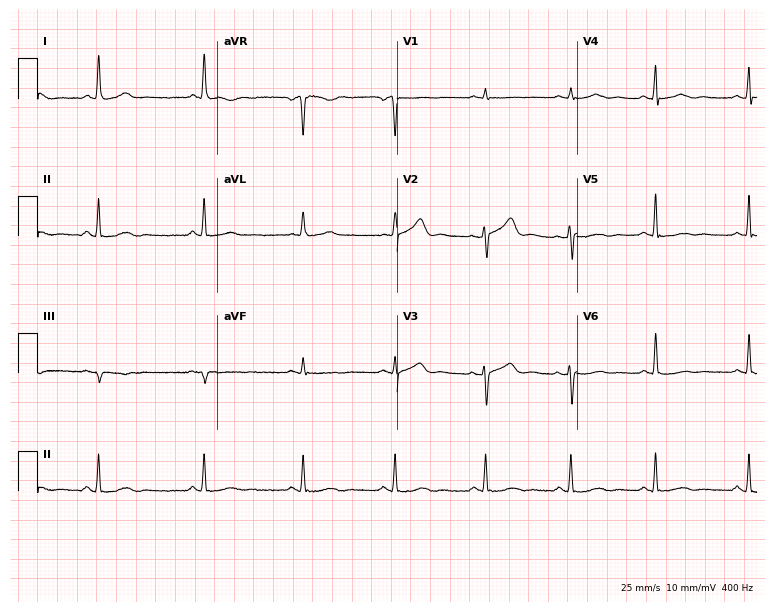
Standard 12-lead ECG recorded from a 59-year-old woman (7.3-second recording at 400 Hz). None of these six findings is recorded: first-degree AV block, right bundle branch block, left bundle branch block, sinus bradycardia, atrial fibrillation, sinus tachycardia. Other findings, if any, are not listed.